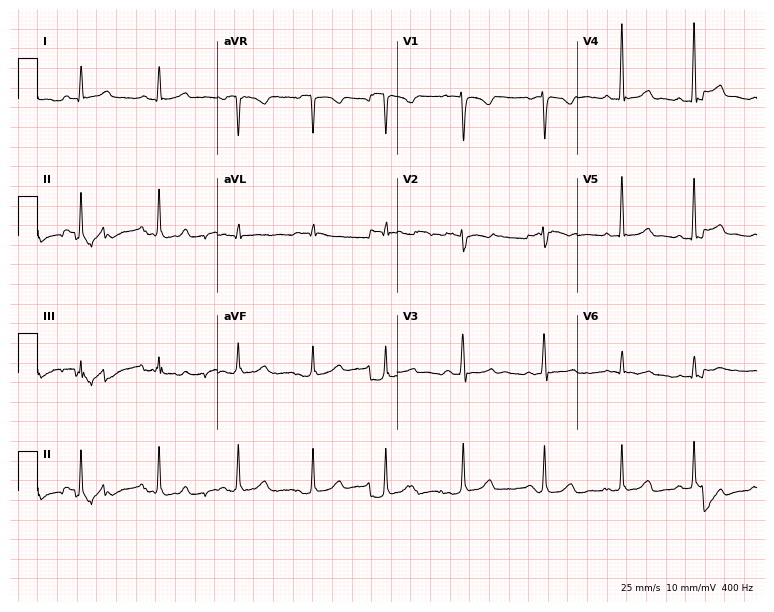
12-lead ECG from a female, 44 years old. Screened for six findings — first-degree AV block, right bundle branch block (RBBB), left bundle branch block (LBBB), sinus bradycardia, atrial fibrillation (AF), sinus tachycardia — none is recorded.